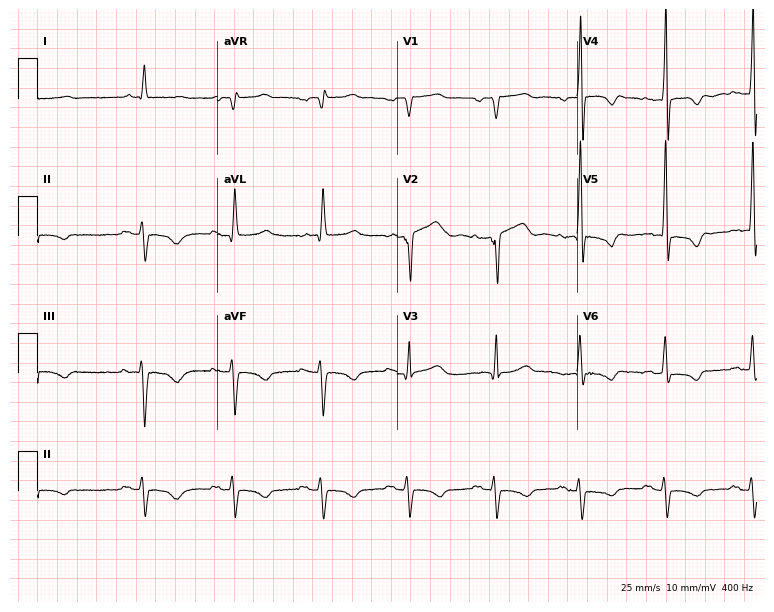
12-lead ECG from a 76-year-old man. No first-degree AV block, right bundle branch block (RBBB), left bundle branch block (LBBB), sinus bradycardia, atrial fibrillation (AF) or sinus tachycardia recorded for this tracing.